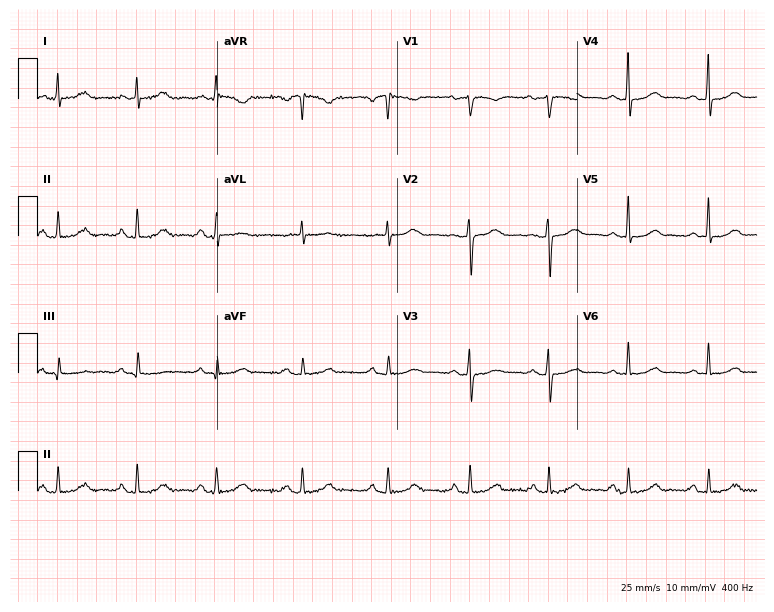
12-lead ECG from a female patient, 67 years old (7.3-second recording at 400 Hz). No first-degree AV block, right bundle branch block, left bundle branch block, sinus bradycardia, atrial fibrillation or sinus tachycardia recorded for this tracing. Only these six findings were labelled.